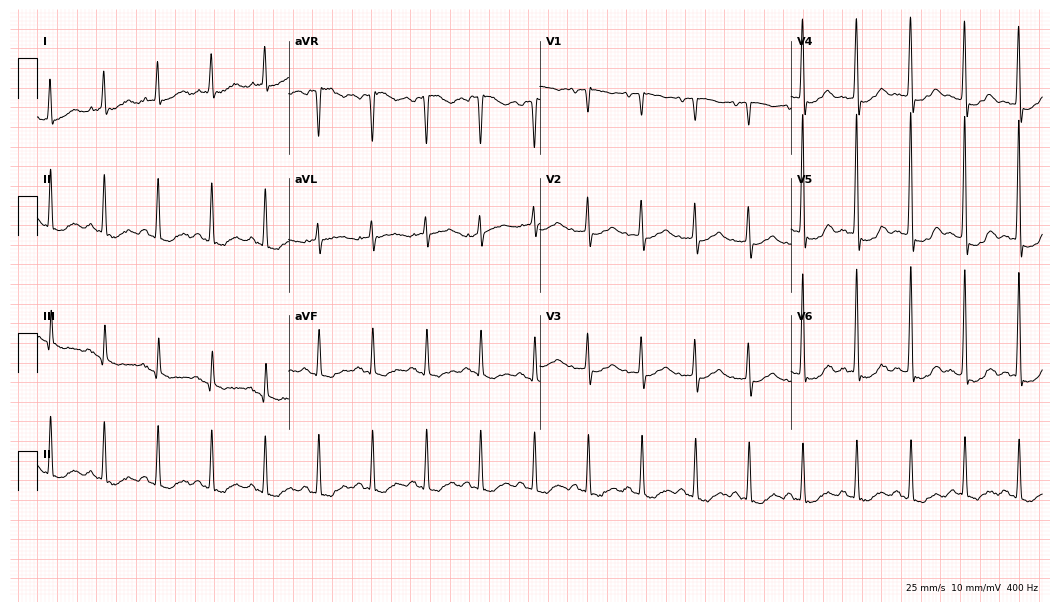
ECG — a female patient, 67 years old. Findings include sinus tachycardia (a sinus rate of 100 beats per minute or more).